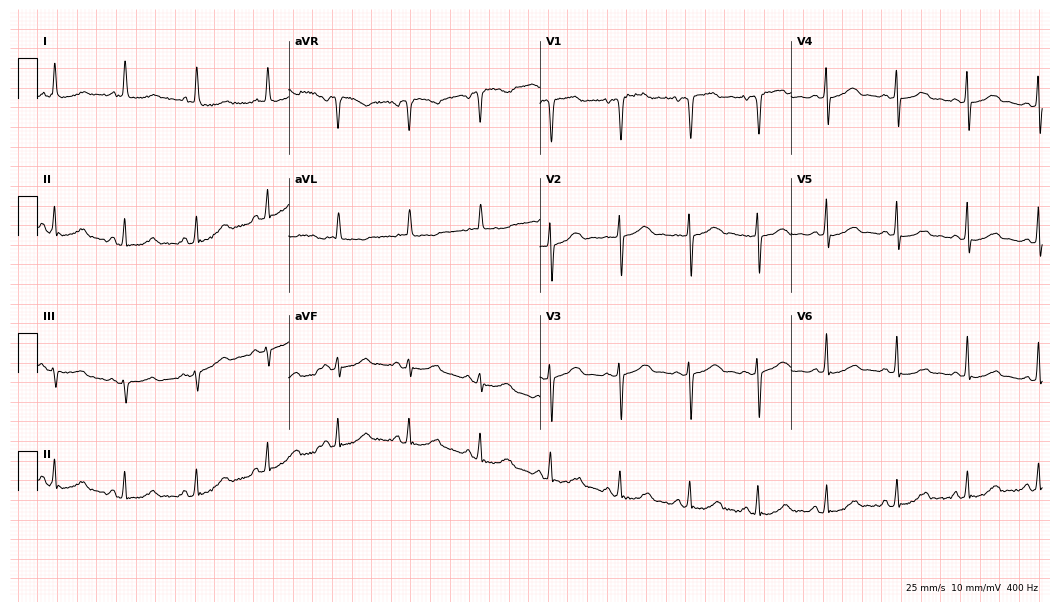
12-lead ECG from a female patient, 84 years old. Recorded interpretation: within normal limits.